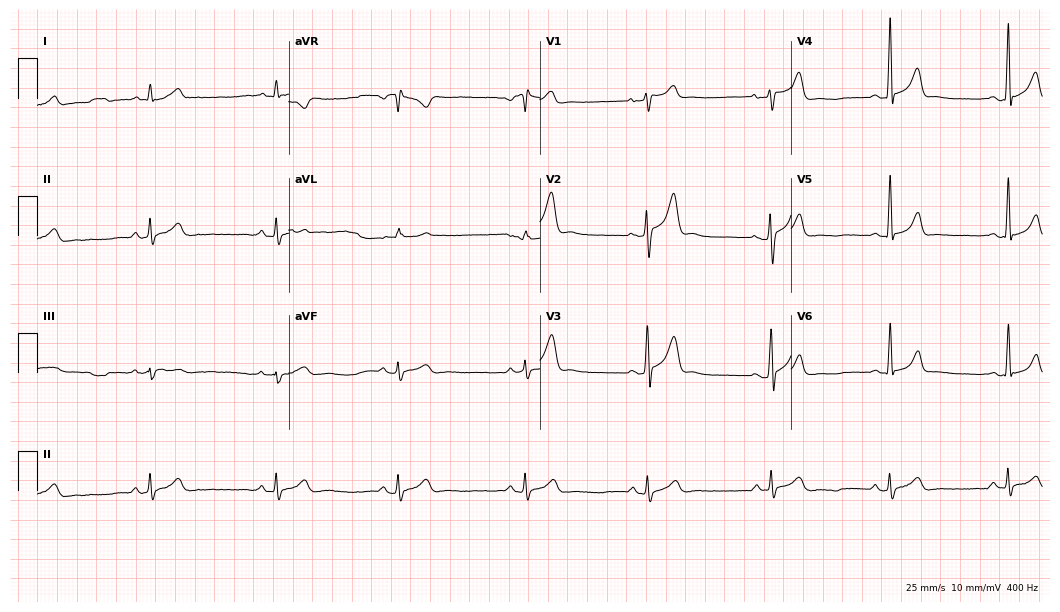
ECG — a man, 31 years old. Findings include sinus bradycardia (a sinus rate of 50 beats per minute or less).